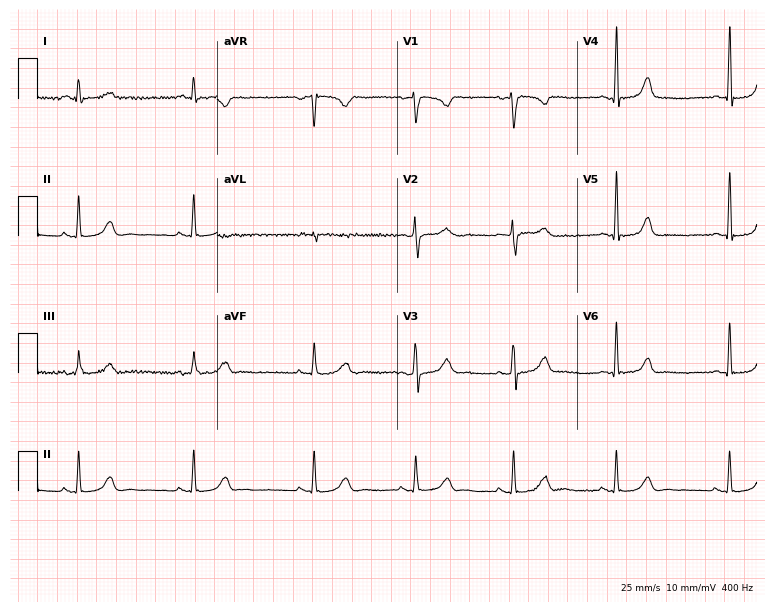
Standard 12-lead ECG recorded from a female, 21 years old. Read as a normal ECG.